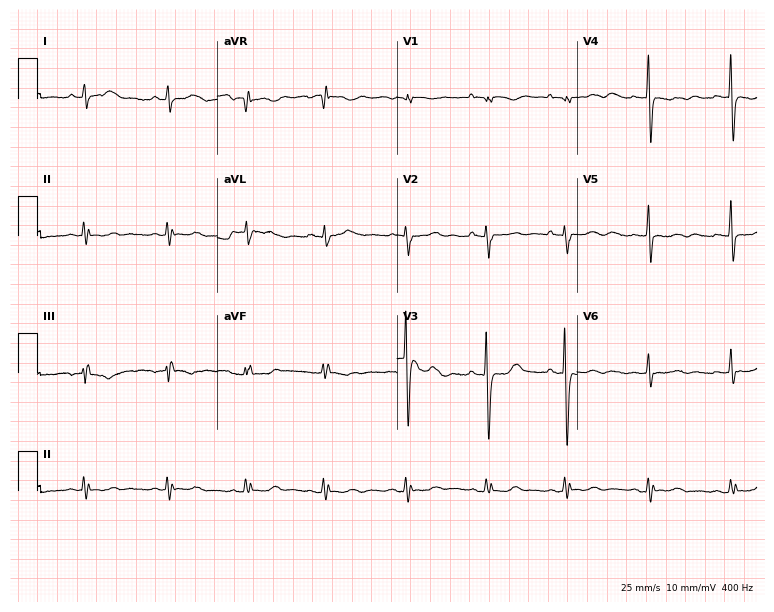
12-lead ECG from a 25-year-old female patient (7.3-second recording at 400 Hz). No first-degree AV block, right bundle branch block (RBBB), left bundle branch block (LBBB), sinus bradycardia, atrial fibrillation (AF) or sinus tachycardia recorded for this tracing. Only these six findings were labelled.